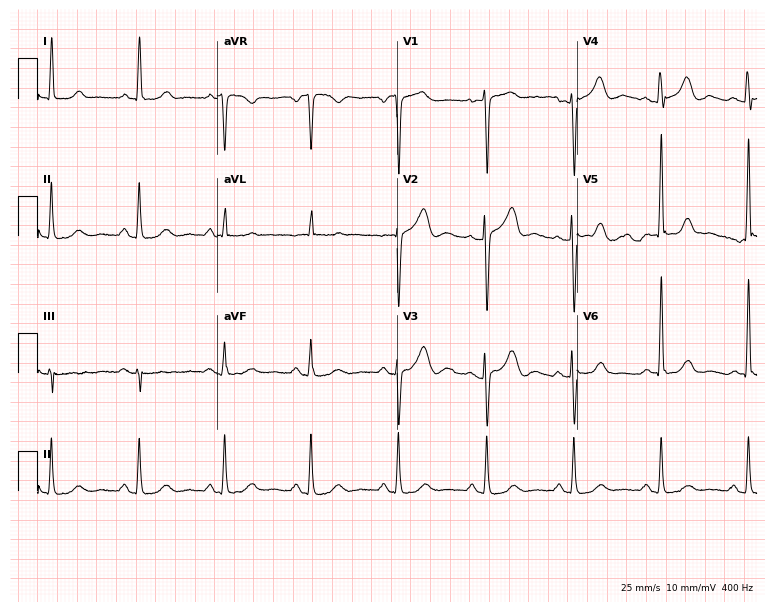
ECG — a 55-year-old female. Screened for six findings — first-degree AV block, right bundle branch block (RBBB), left bundle branch block (LBBB), sinus bradycardia, atrial fibrillation (AF), sinus tachycardia — none is recorded. Findings outside these six are not listed.